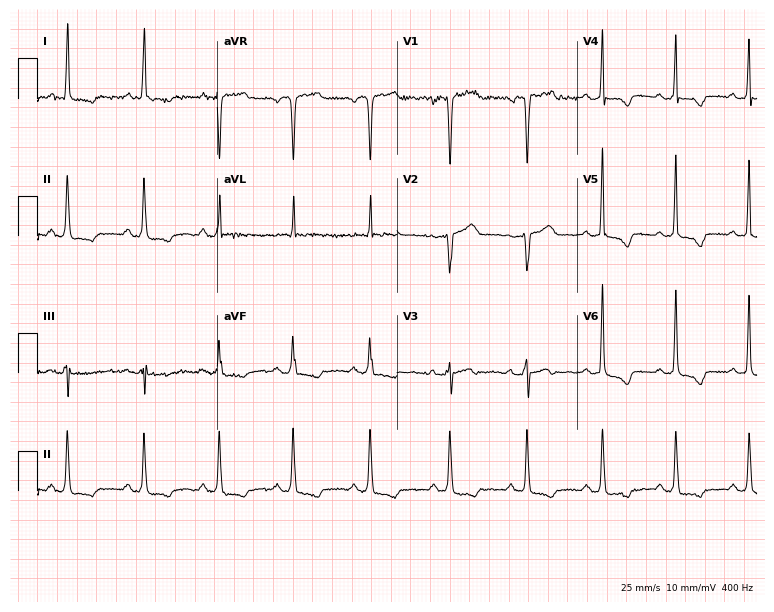
ECG — a 48-year-old female. Screened for six findings — first-degree AV block, right bundle branch block, left bundle branch block, sinus bradycardia, atrial fibrillation, sinus tachycardia — none is recorded.